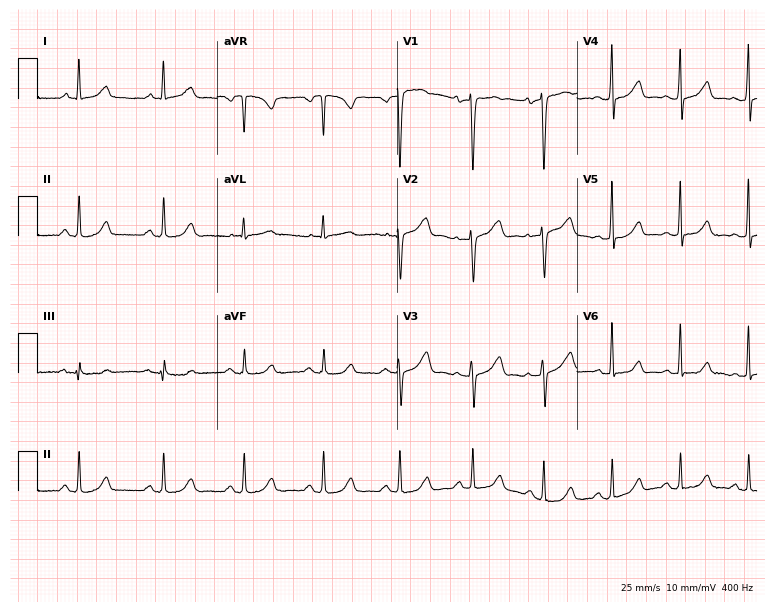
12-lead ECG (7.3-second recording at 400 Hz) from a 49-year-old female patient. Labelled as a normal ECG.